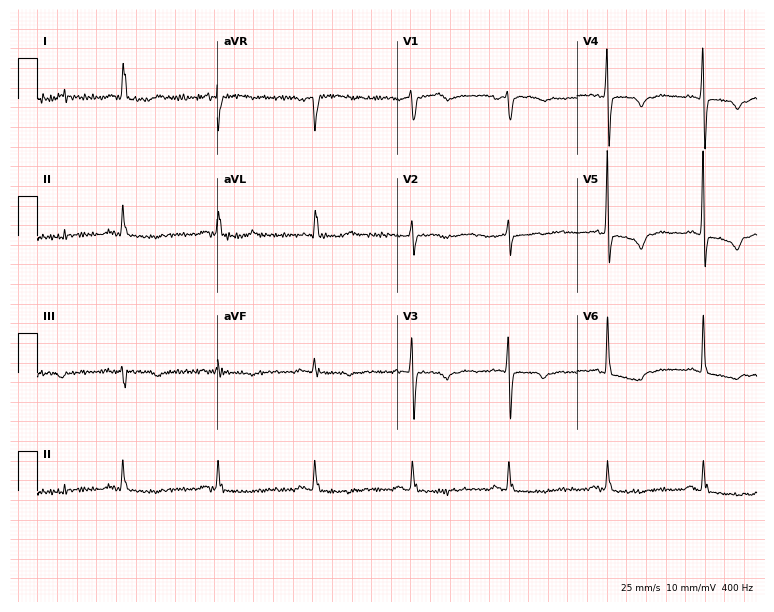
Electrocardiogram (7.3-second recording at 400 Hz), a woman, 79 years old. Of the six screened findings (first-degree AV block, right bundle branch block (RBBB), left bundle branch block (LBBB), sinus bradycardia, atrial fibrillation (AF), sinus tachycardia), none is recorded.